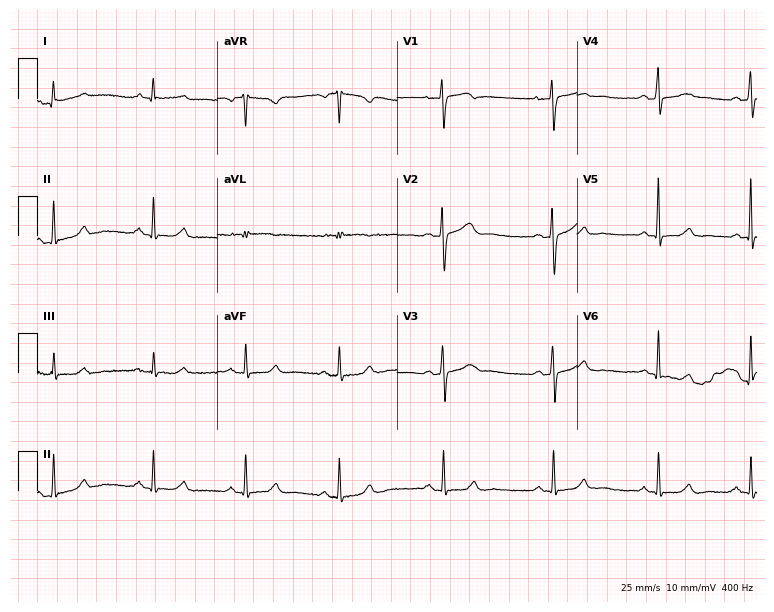
Resting 12-lead electrocardiogram (7.3-second recording at 400 Hz). Patient: a female, 36 years old. Read as a normal ECG.